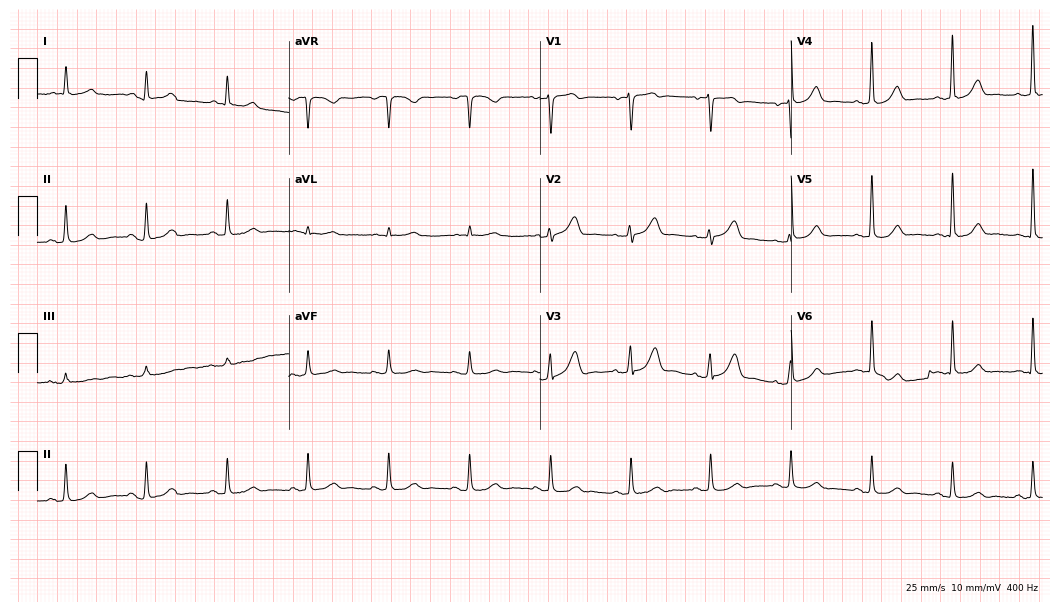
ECG — an 82-year-old male patient. Labelled as a normal ECG.